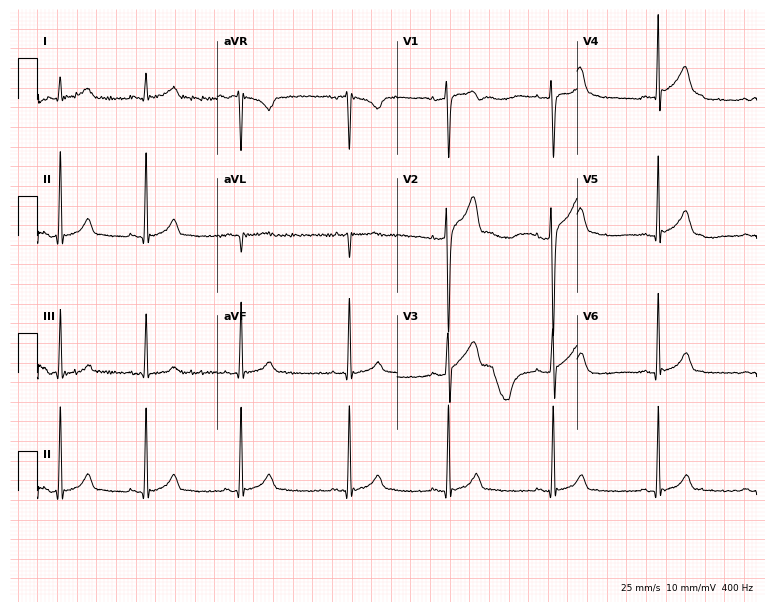
12-lead ECG from a 30-year-old man. Labelled as a normal ECG.